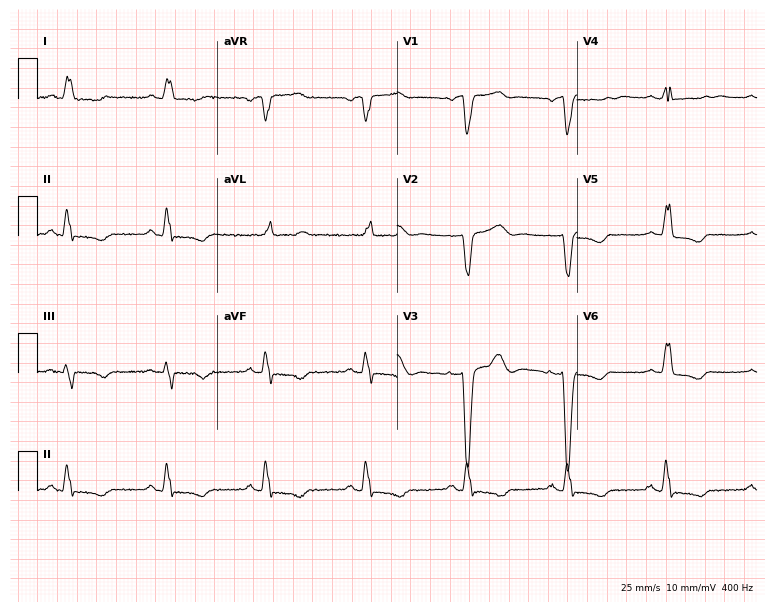
ECG (7.3-second recording at 400 Hz) — a female patient, 82 years old. Findings include left bundle branch block.